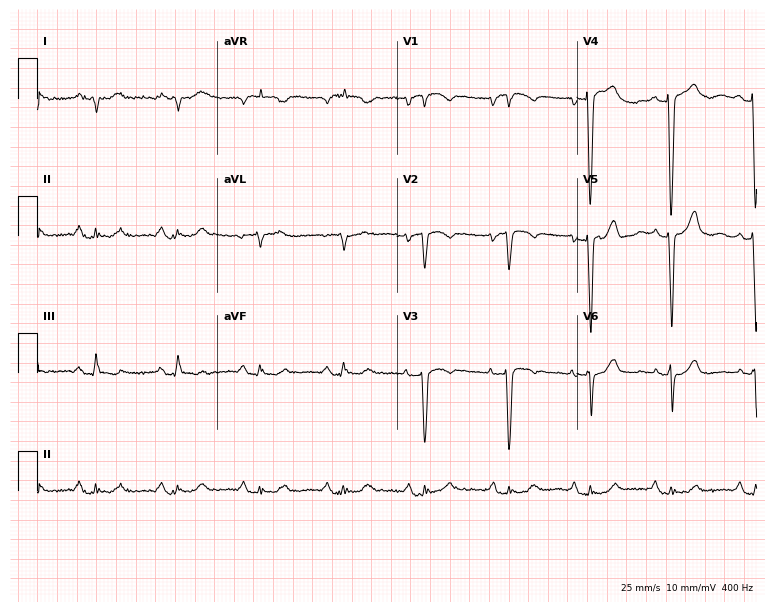
Electrocardiogram, a female, 83 years old. Of the six screened findings (first-degree AV block, right bundle branch block, left bundle branch block, sinus bradycardia, atrial fibrillation, sinus tachycardia), none is recorded.